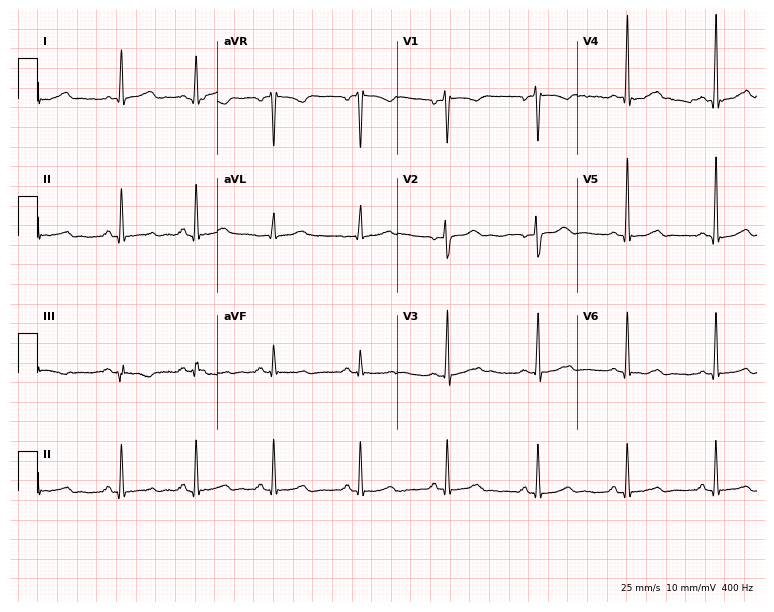
ECG — a 39-year-old female patient. Labelled as a normal ECG.